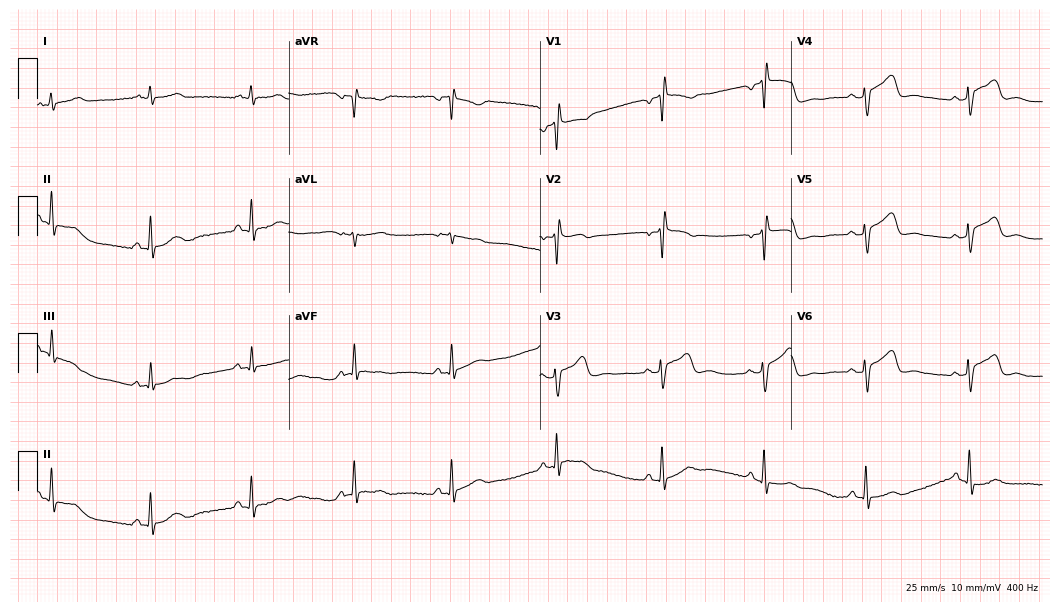
ECG (10.2-second recording at 400 Hz) — a 67-year-old man. Screened for six findings — first-degree AV block, right bundle branch block, left bundle branch block, sinus bradycardia, atrial fibrillation, sinus tachycardia — none is recorded. Other findings, if any, are not listed.